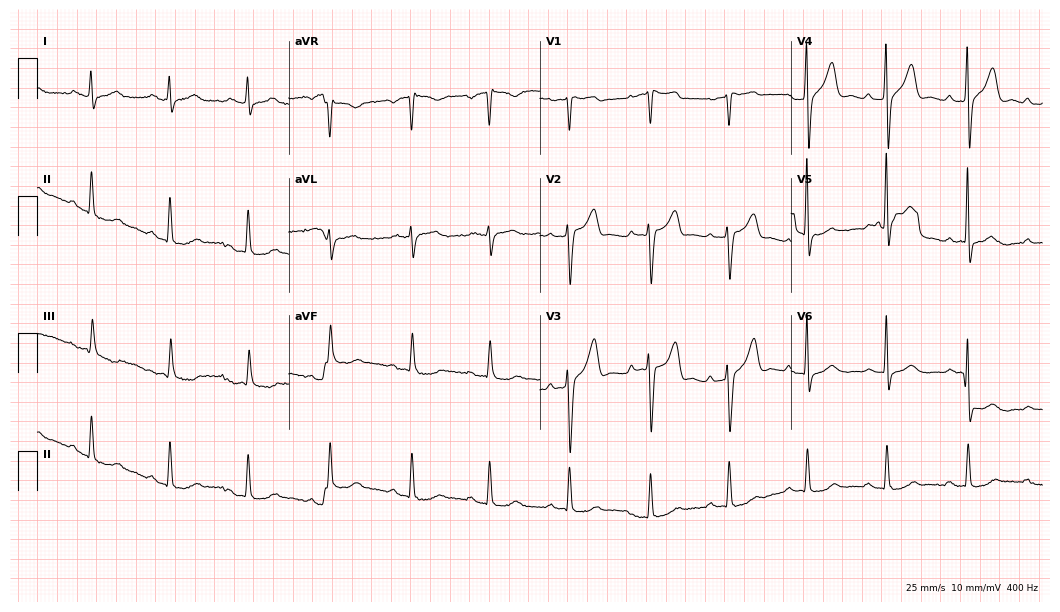
12-lead ECG from a man, 71 years old. No first-degree AV block, right bundle branch block (RBBB), left bundle branch block (LBBB), sinus bradycardia, atrial fibrillation (AF) or sinus tachycardia recorded for this tracing.